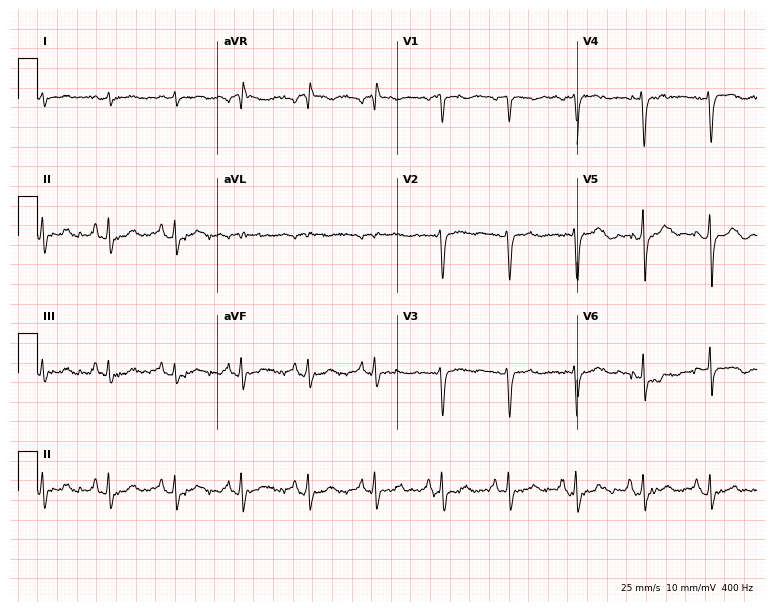
ECG — a 68-year-old female patient. Screened for six findings — first-degree AV block, right bundle branch block, left bundle branch block, sinus bradycardia, atrial fibrillation, sinus tachycardia — none is recorded. Findings outside these six are not listed.